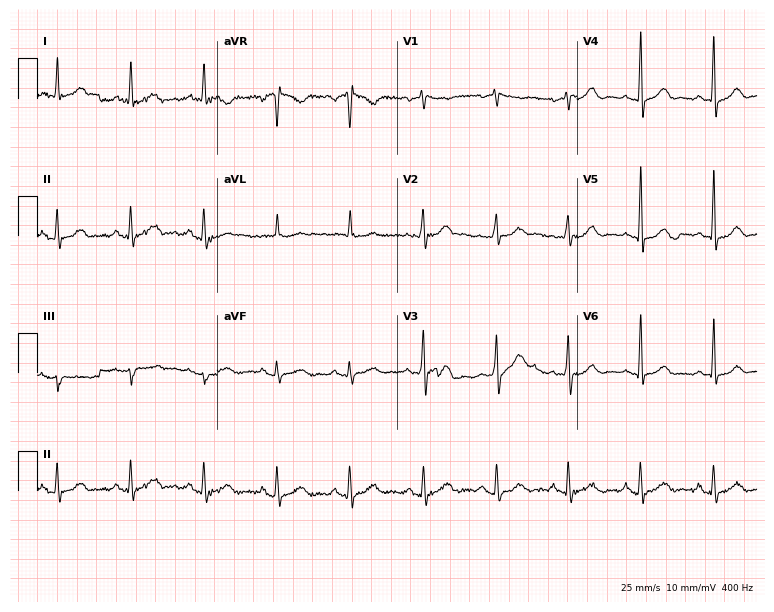
Resting 12-lead electrocardiogram. Patient: a 49-year-old male. None of these six findings is recorded: first-degree AV block, right bundle branch block, left bundle branch block, sinus bradycardia, atrial fibrillation, sinus tachycardia.